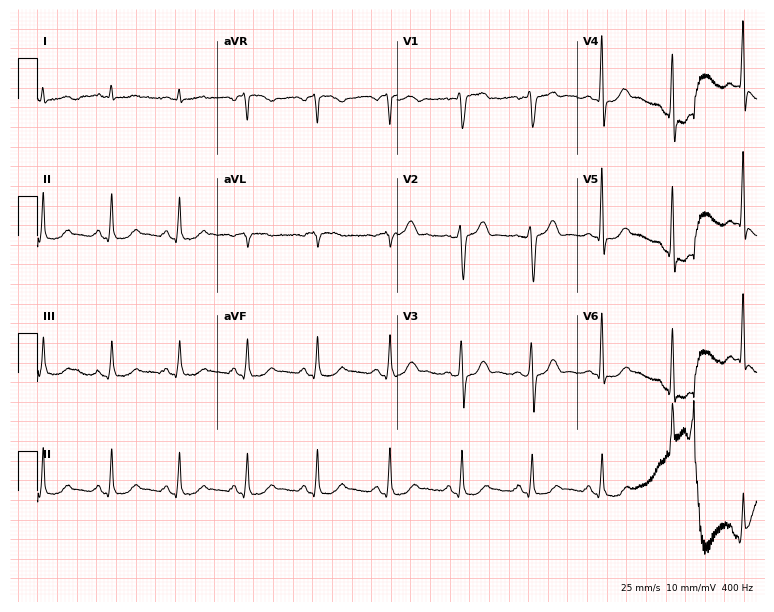
12-lead ECG from a male patient, 60 years old. Recorded interpretation: within normal limits.